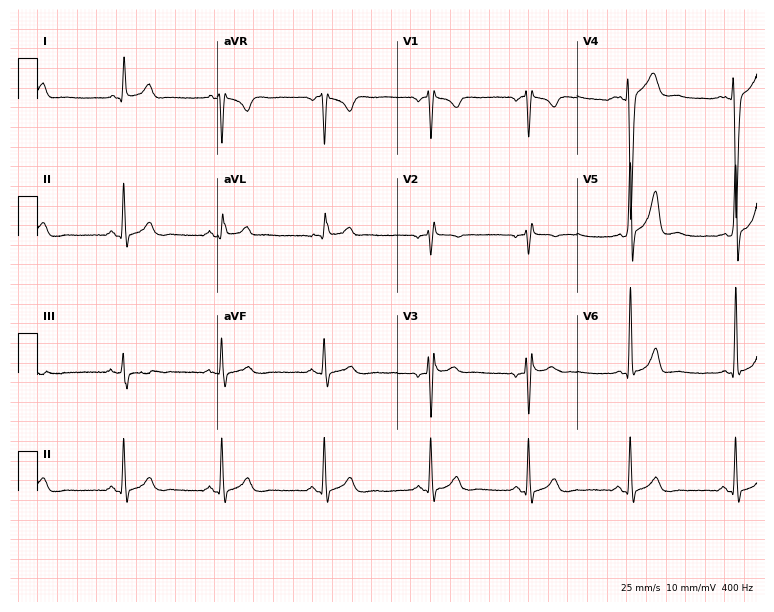
Resting 12-lead electrocardiogram. Patient: a male, 21 years old. Read as a normal ECG.